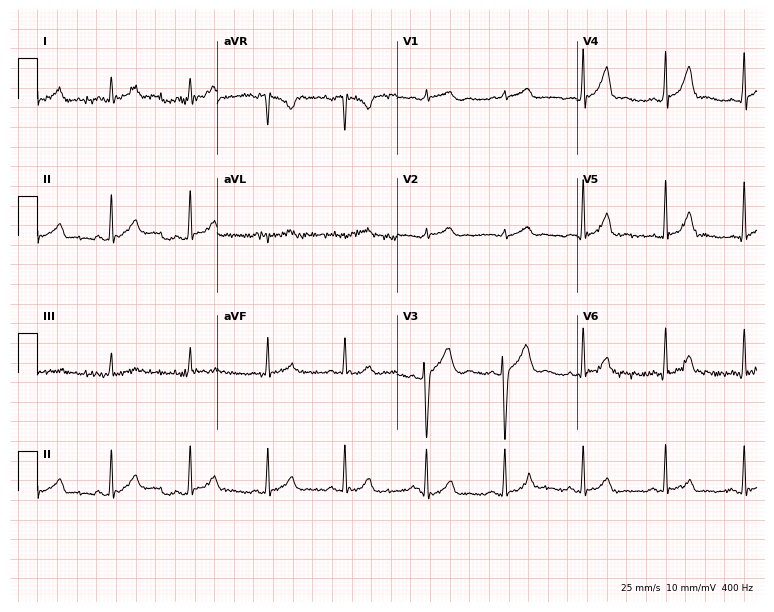
Electrocardiogram, a man, 18 years old. Overall reading on record: normal ECG.